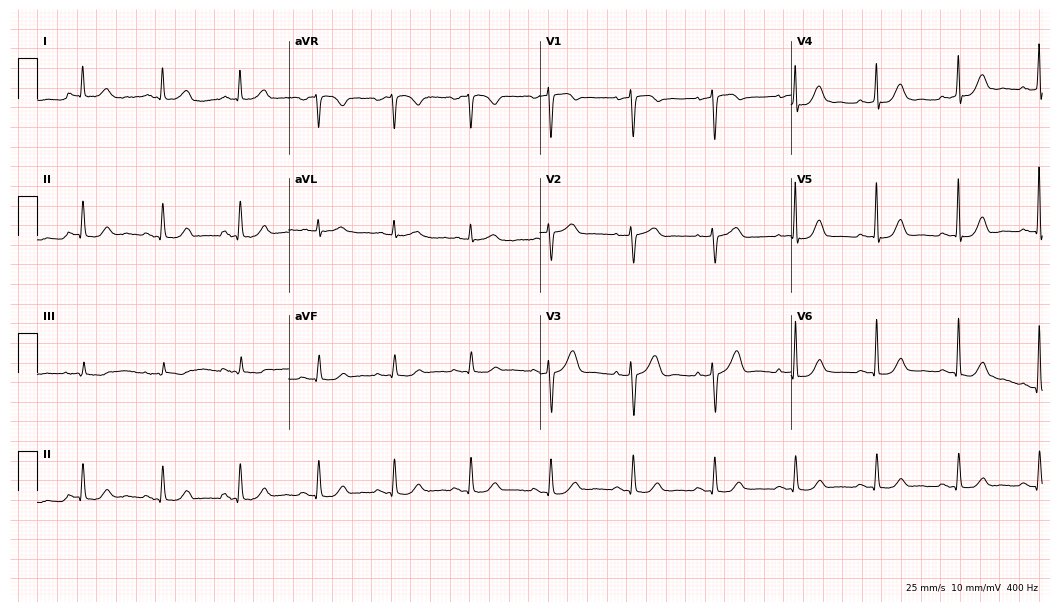
12-lead ECG (10.2-second recording at 400 Hz) from a female patient, 83 years old. Labelled as a normal ECG.